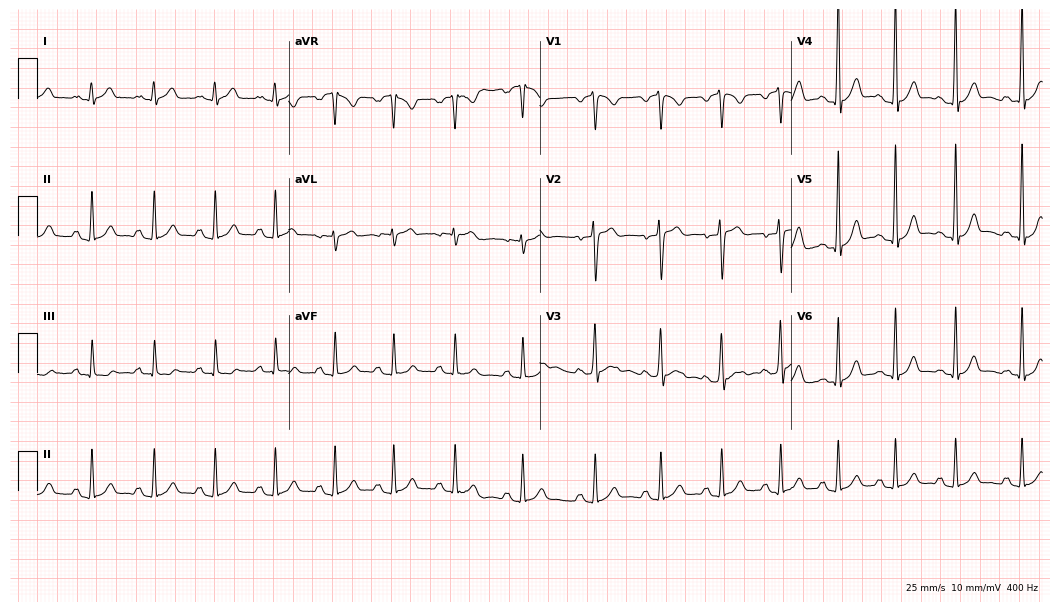
12-lead ECG from a male patient, 20 years old. Recorded interpretation: within normal limits.